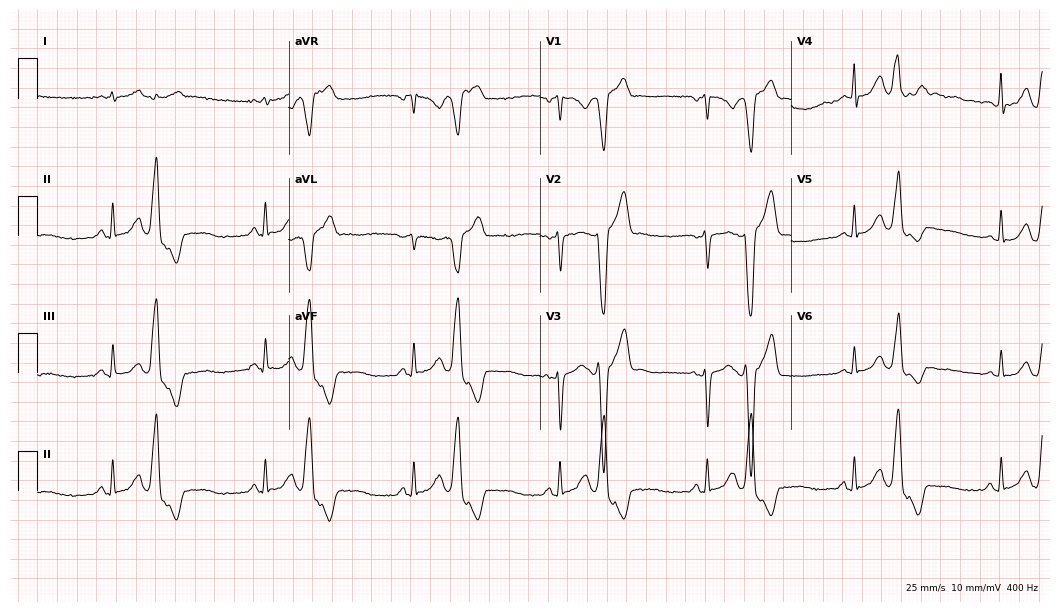
Resting 12-lead electrocardiogram. Patient: a woman, 32 years old. None of these six findings is recorded: first-degree AV block, right bundle branch block (RBBB), left bundle branch block (LBBB), sinus bradycardia, atrial fibrillation (AF), sinus tachycardia.